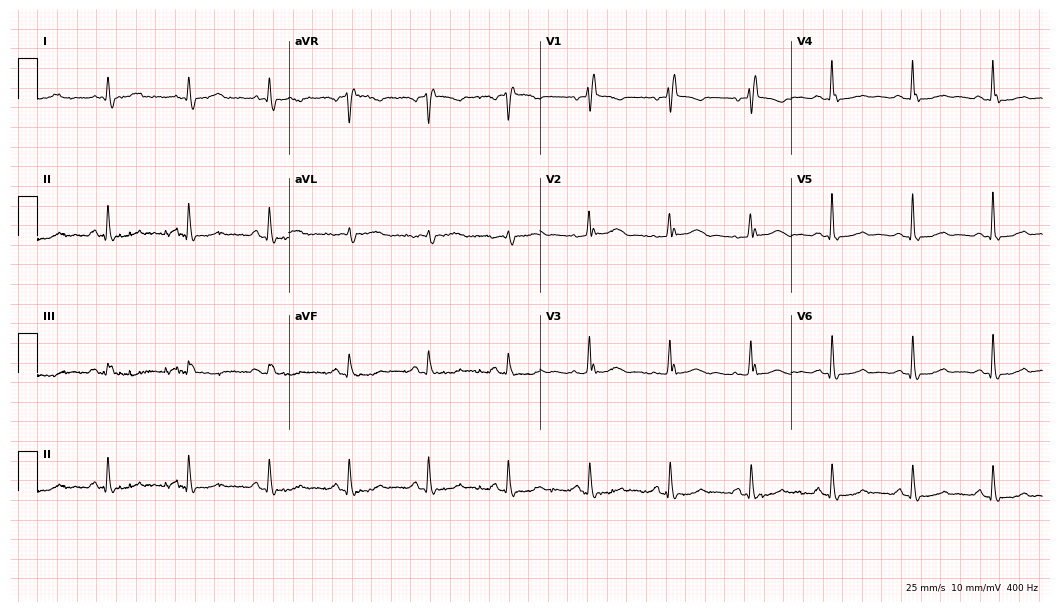
12-lead ECG from a 75-year-old female. Findings include right bundle branch block (RBBB).